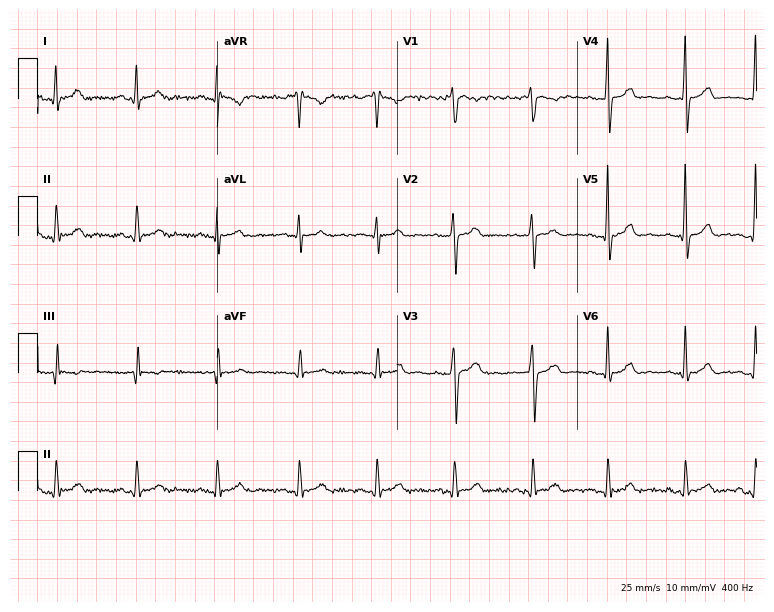
Electrocardiogram (7.3-second recording at 400 Hz), a 20-year-old male. Overall reading on record: normal ECG.